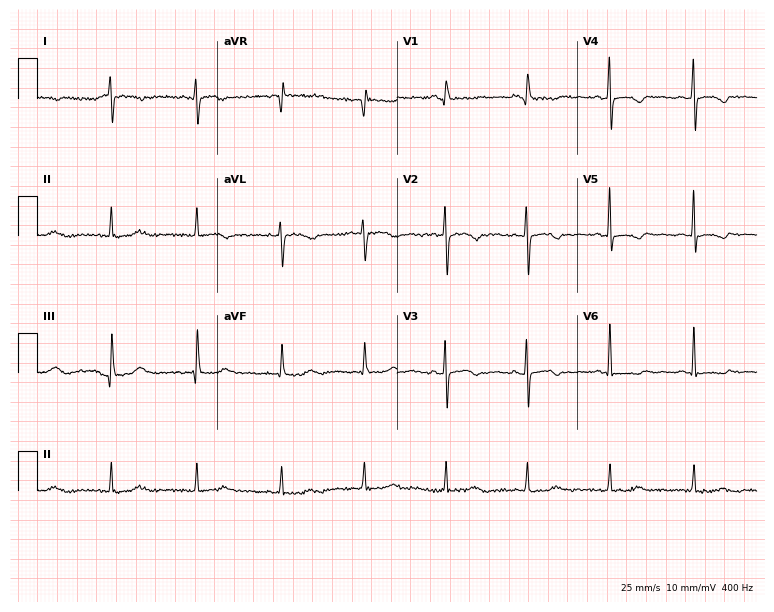
Standard 12-lead ECG recorded from a female patient, 61 years old. None of these six findings is recorded: first-degree AV block, right bundle branch block (RBBB), left bundle branch block (LBBB), sinus bradycardia, atrial fibrillation (AF), sinus tachycardia.